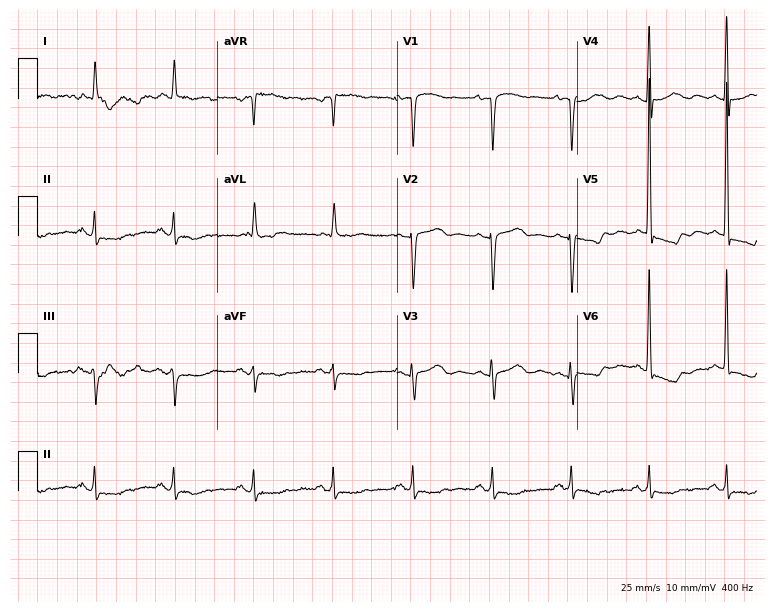
Standard 12-lead ECG recorded from a female, 72 years old (7.3-second recording at 400 Hz). None of these six findings is recorded: first-degree AV block, right bundle branch block, left bundle branch block, sinus bradycardia, atrial fibrillation, sinus tachycardia.